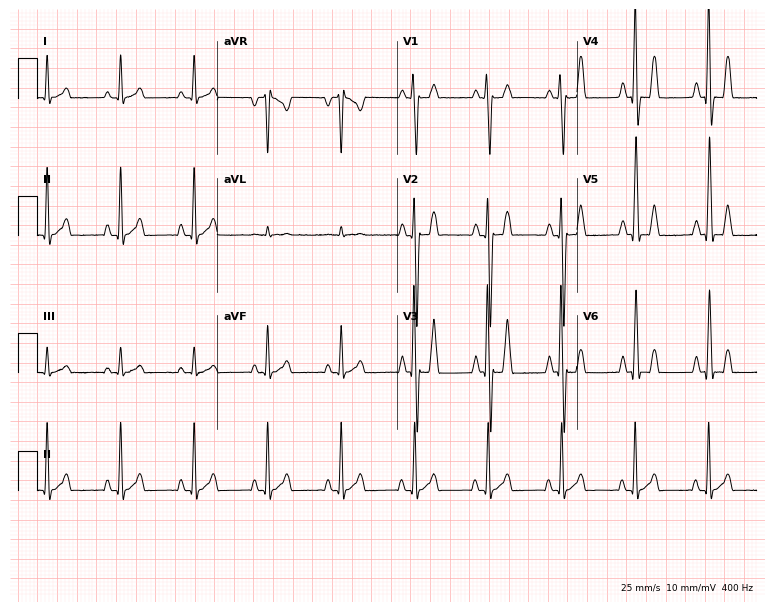
Electrocardiogram, a male patient, 30 years old. Of the six screened findings (first-degree AV block, right bundle branch block, left bundle branch block, sinus bradycardia, atrial fibrillation, sinus tachycardia), none is recorded.